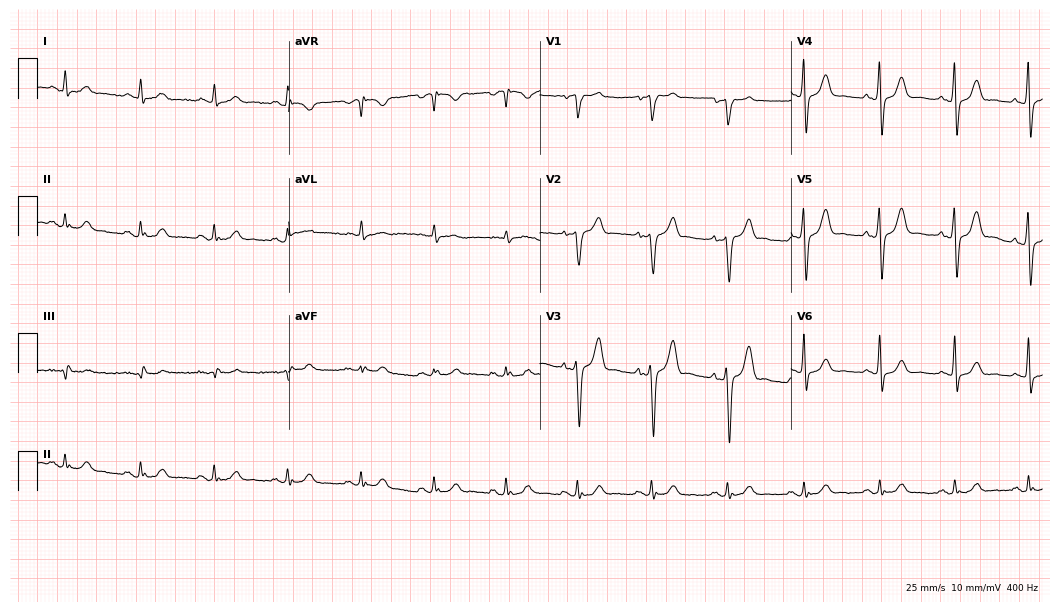
Standard 12-lead ECG recorded from a 45-year-old male patient (10.2-second recording at 400 Hz). Read as a normal ECG.